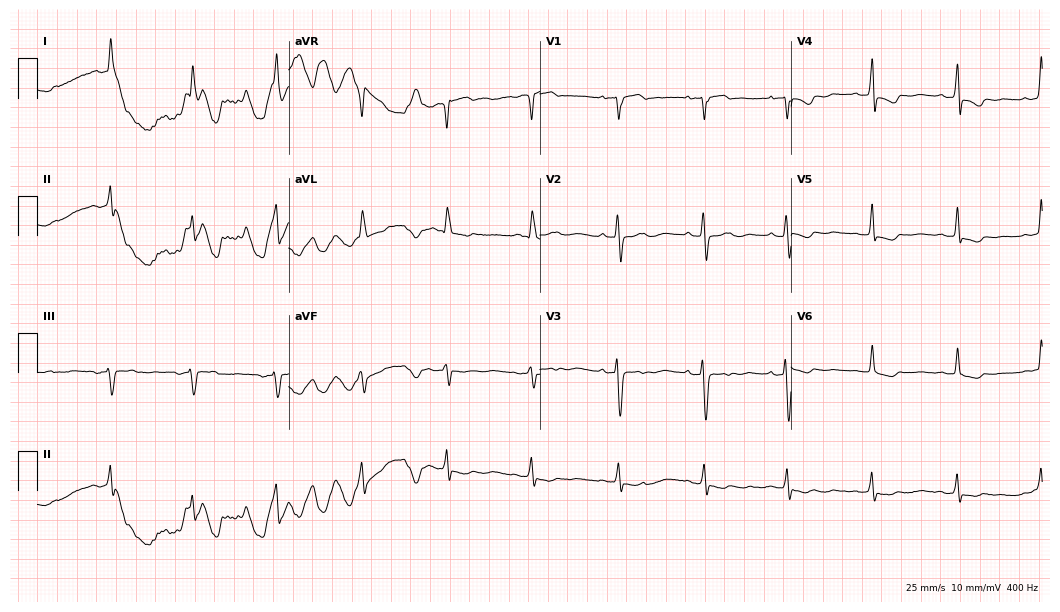
Resting 12-lead electrocardiogram. Patient: a 63-year-old female. None of these six findings is recorded: first-degree AV block, right bundle branch block (RBBB), left bundle branch block (LBBB), sinus bradycardia, atrial fibrillation (AF), sinus tachycardia.